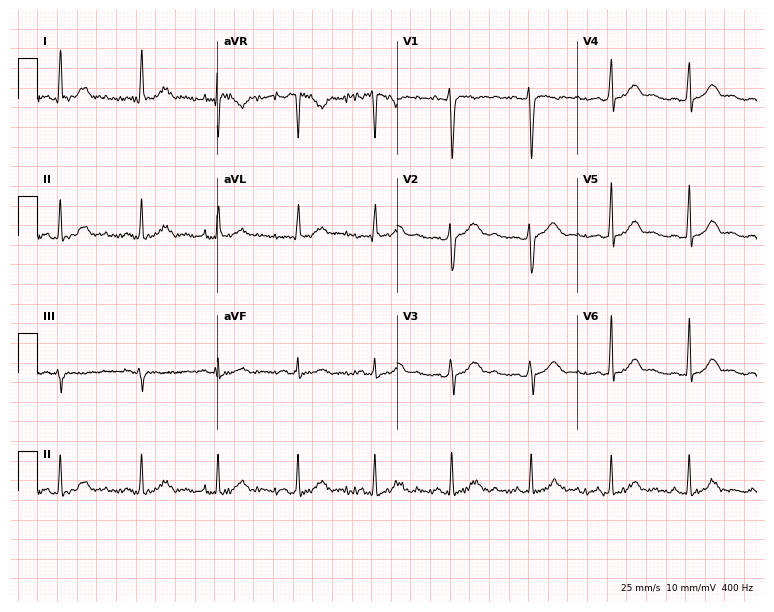
ECG (7.3-second recording at 400 Hz) — a 39-year-old female. Labelled as a normal ECG.